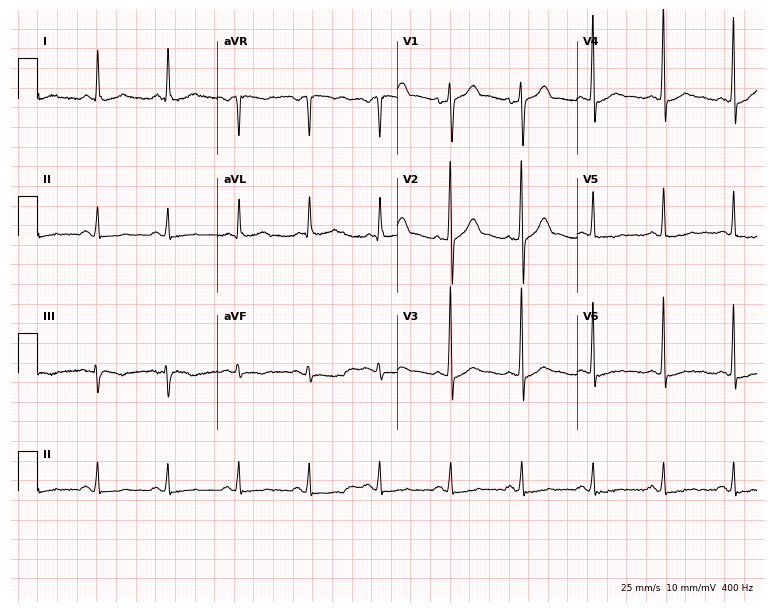
ECG (7.3-second recording at 400 Hz) — a 50-year-old male patient. Screened for six findings — first-degree AV block, right bundle branch block, left bundle branch block, sinus bradycardia, atrial fibrillation, sinus tachycardia — none is recorded.